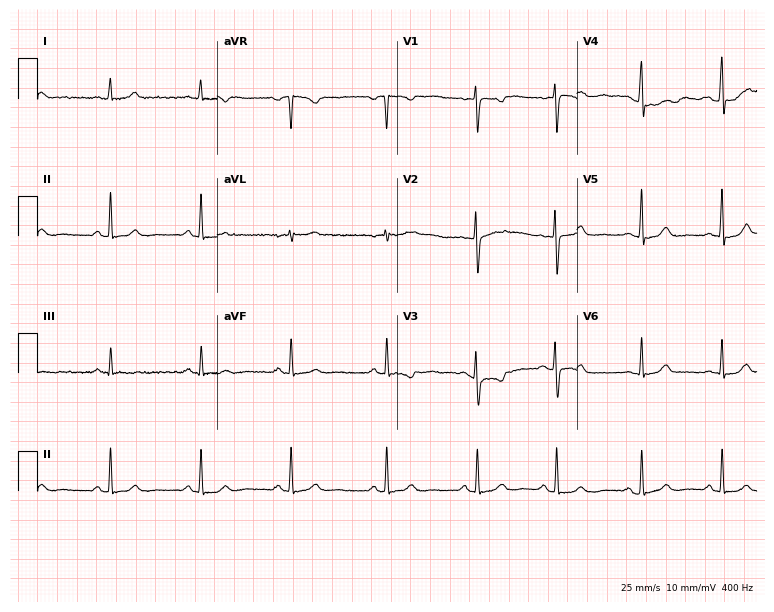
ECG — a 24-year-old female. Labelled as a normal ECG.